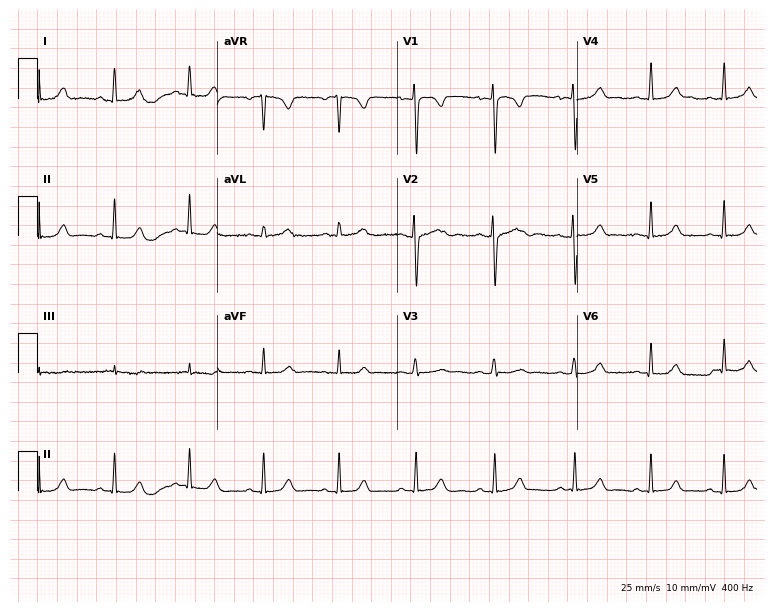
Resting 12-lead electrocardiogram. Patient: a female, 17 years old. Read as a normal ECG.